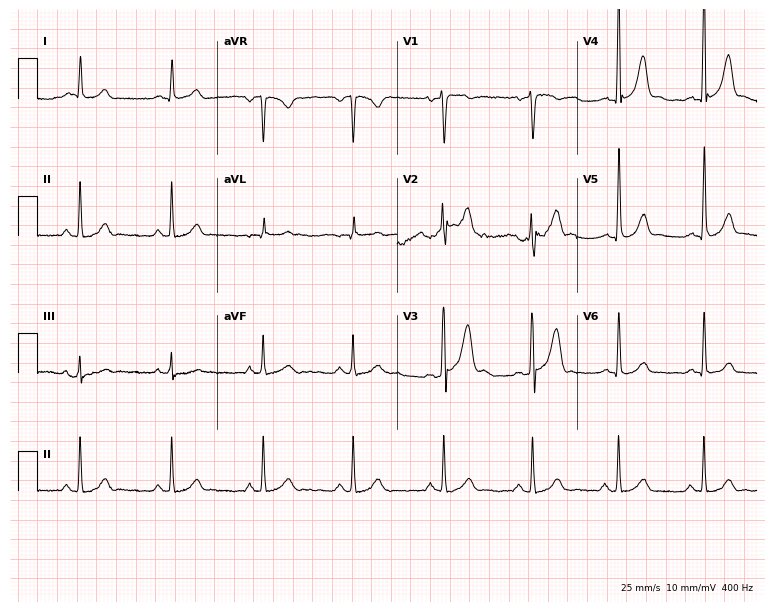
12-lead ECG from a 44-year-old male. No first-degree AV block, right bundle branch block, left bundle branch block, sinus bradycardia, atrial fibrillation or sinus tachycardia recorded for this tracing. Only these six findings were labelled.